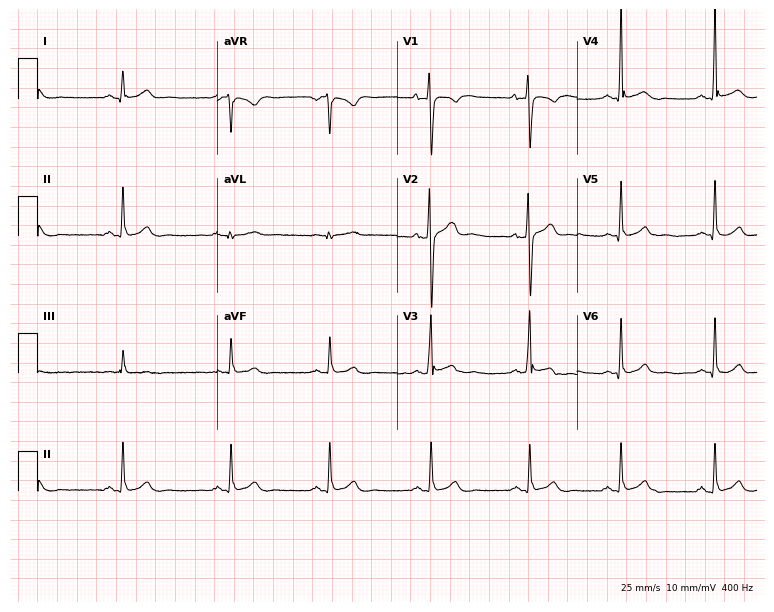
ECG — a 77-year-old male. Labelled as a normal ECG.